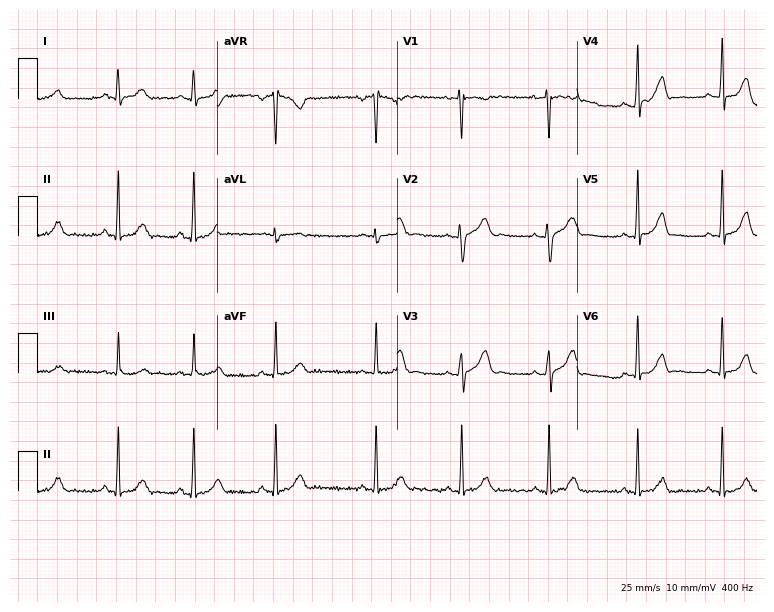
Resting 12-lead electrocardiogram (7.3-second recording at 400 Hz). Patient: a 31-year-old female. Read as a normal ECG.